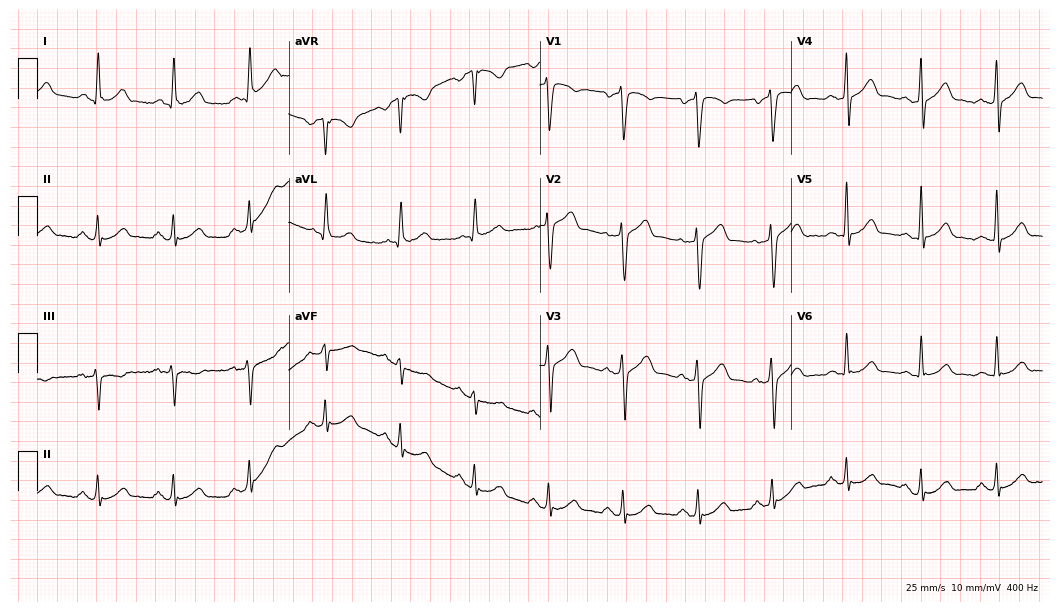
Electrocardiogram (10.2-second recording at 400 Hz), a 59-year-old man. Overall reading on record: normal ECG.